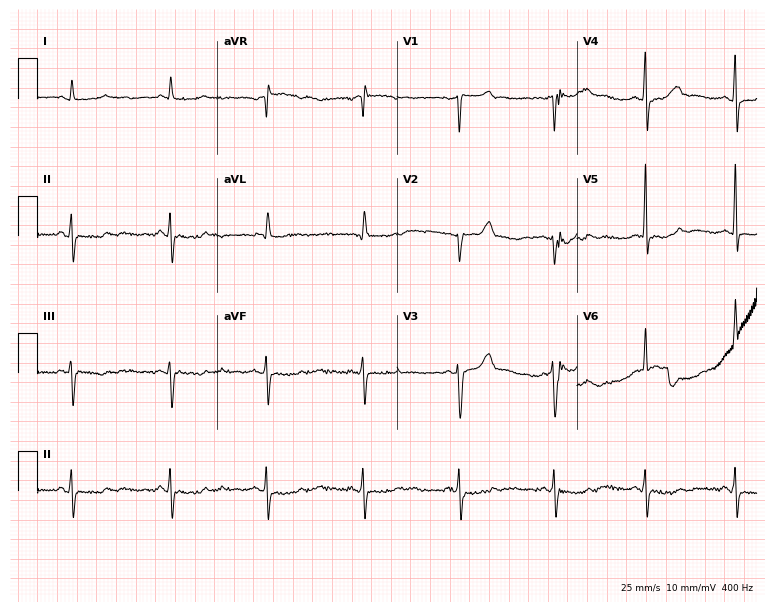
12-lead ECG (7.3-second recording at 400 Hz) from a 53-year-old man. Screened for six findings — first-degree AV block, right bundle branch block, left bundle branch block, sinus bradycardia, atrial fibrillation, sinus tachycardia — none is recorded. Findings outside these six are not listed.